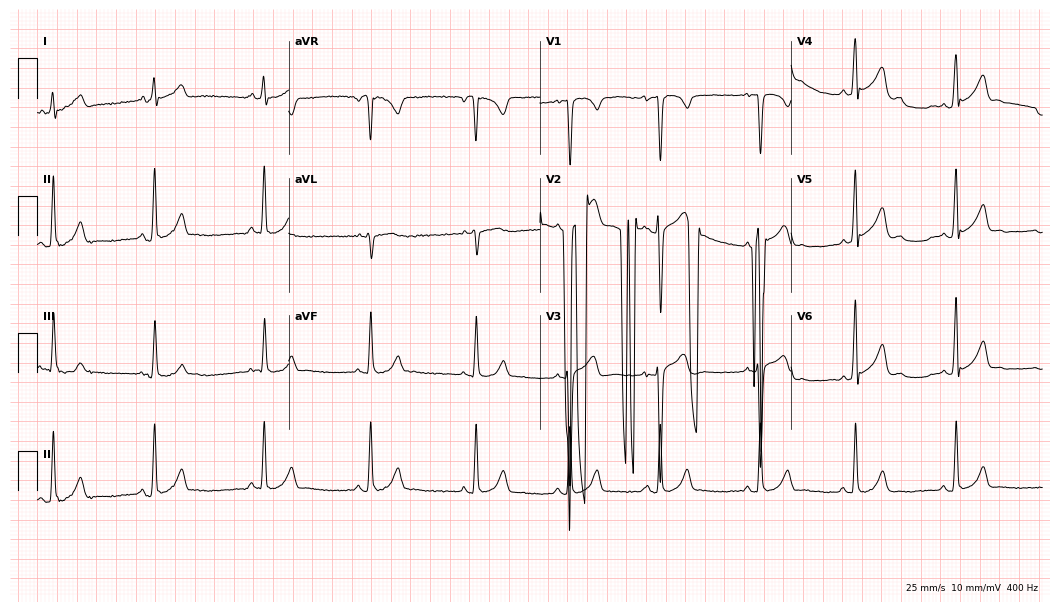
ECG (10.2-second recording at 400 Hz) — a male, 22 years old. Screened for six findings — first-degree AV block, right bundle branch block, left bundle branch block, sinus bradycardia, atrial fibrillation, sinus tachycardia — none is recorded. Only these six findings were labelled.